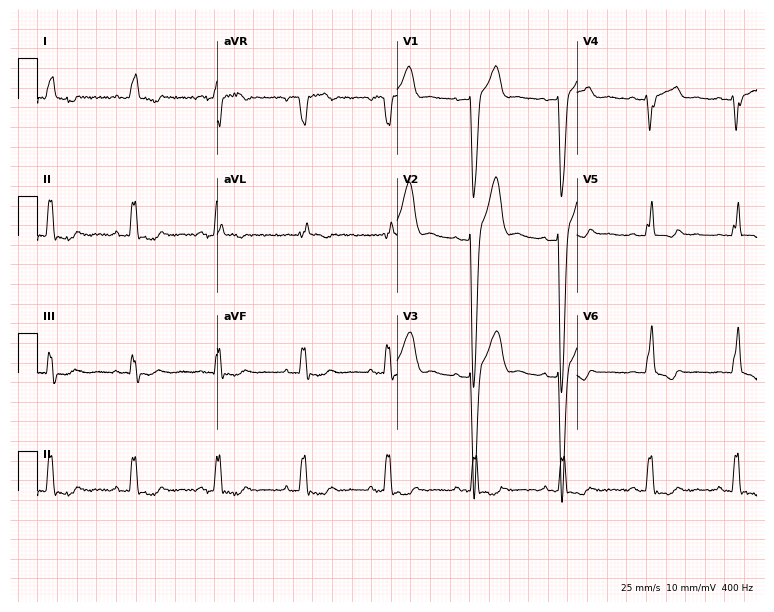
ECG — a 37-year-old man. Findings include left bundle branch block (LBBB).